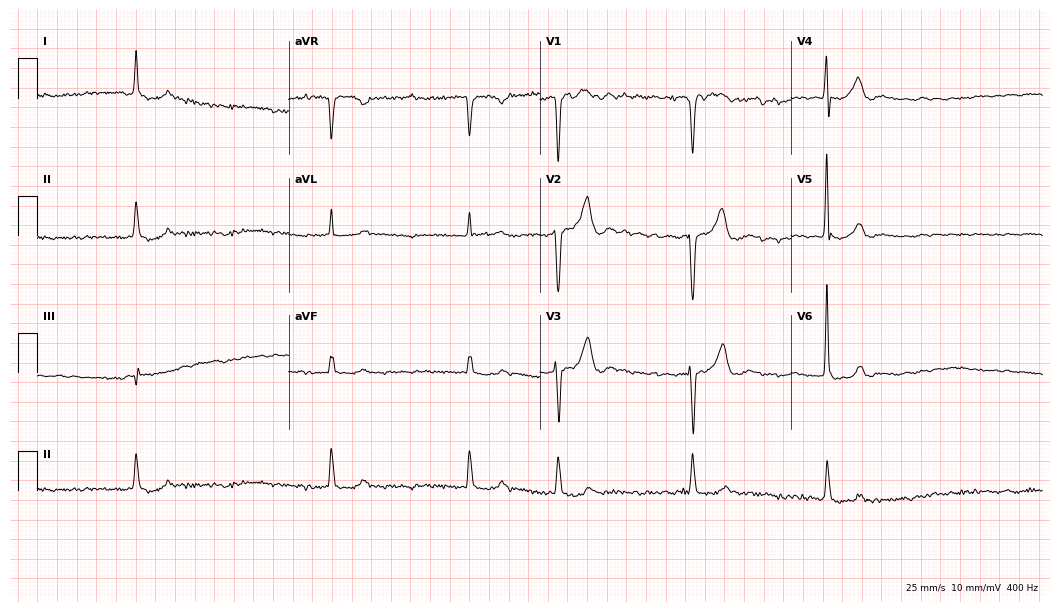
Standard 12-lead ECG recorded from a male, 72 years old. The tracing shows atrial fibrillation.